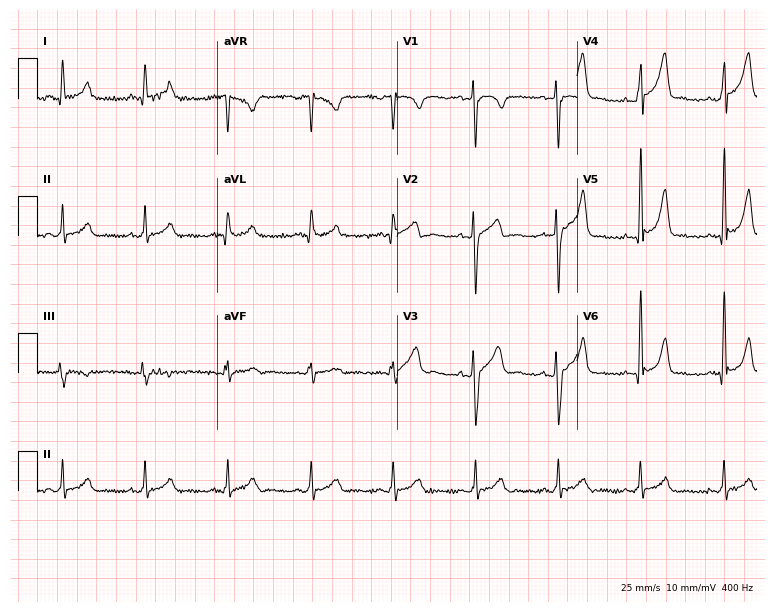
ECG — a man, 32 years old. Screened for six findings — first-degree AV block, right bundle branch block, left bundle branch block, sinus bradycardia, atrial fibrillation, sinus tachycardia — none is recorded. Only these six findings were labelled.